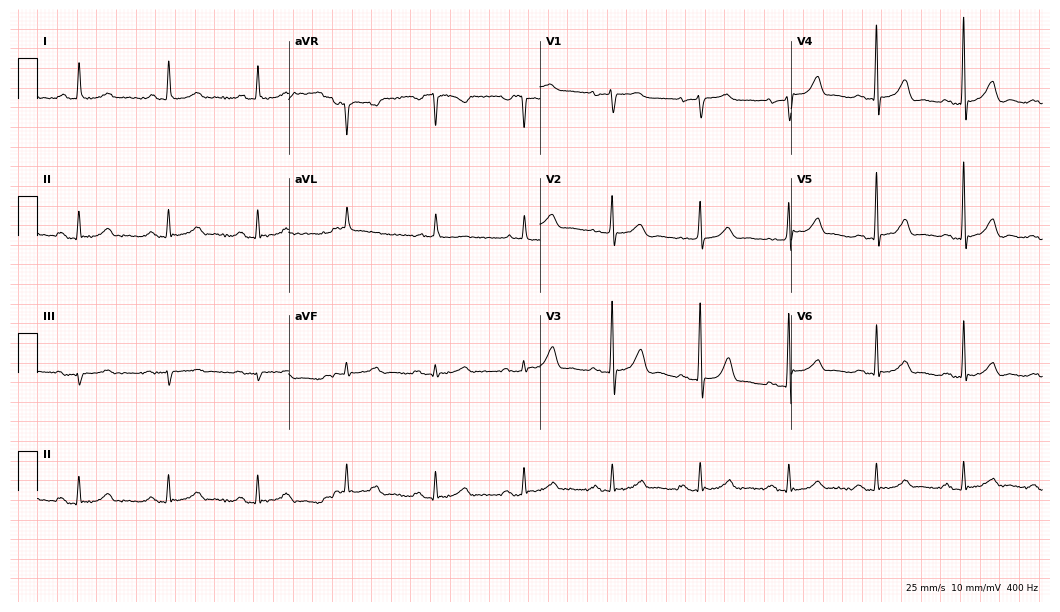
12-lead ECG from a woman, 65 years old (10.2-second recording at 400 Hz). Recorded interpretation: within normal limits.